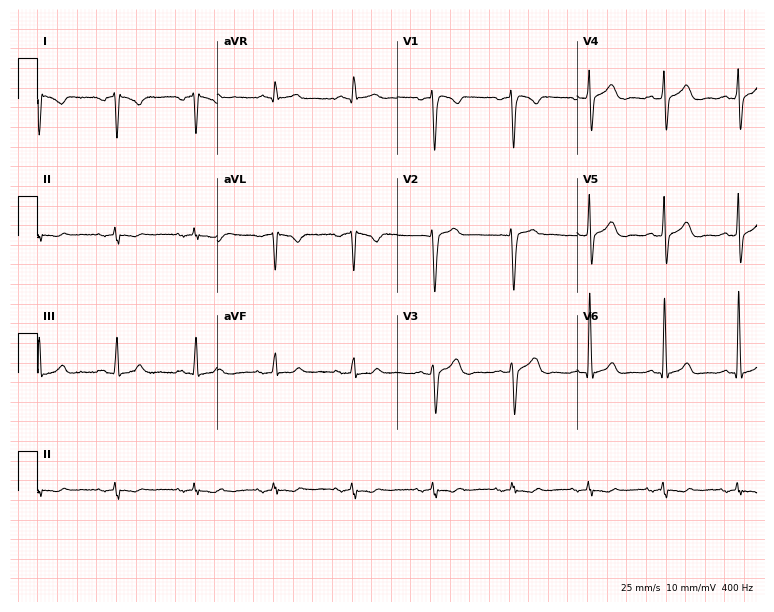
12-lead ECG from a male patient, 46 years old. No first-degree AV block, right bundle branch block, left bundle branch block, sinus bradycardia, atrial fibrillation or sinus tachycardia recorded for this tracing.